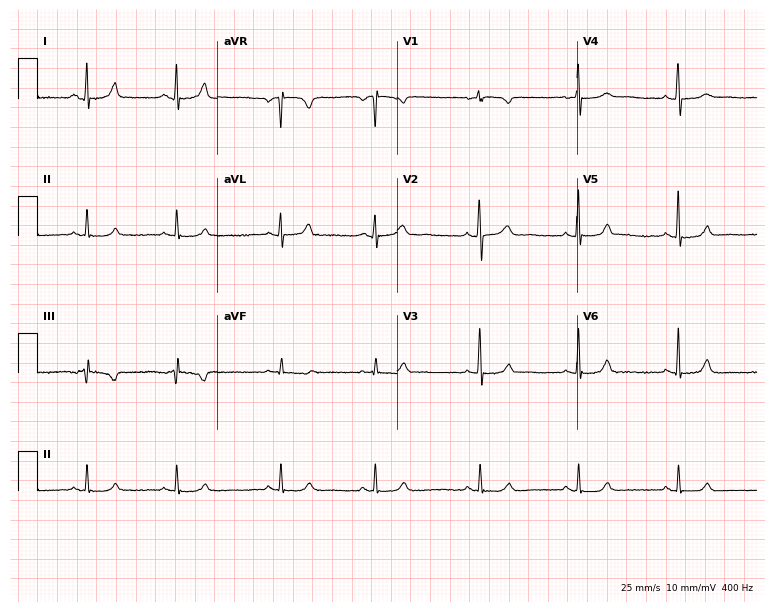
12-lead ECG from a 50-year-old female. Recorded interpretation: within normal limits.